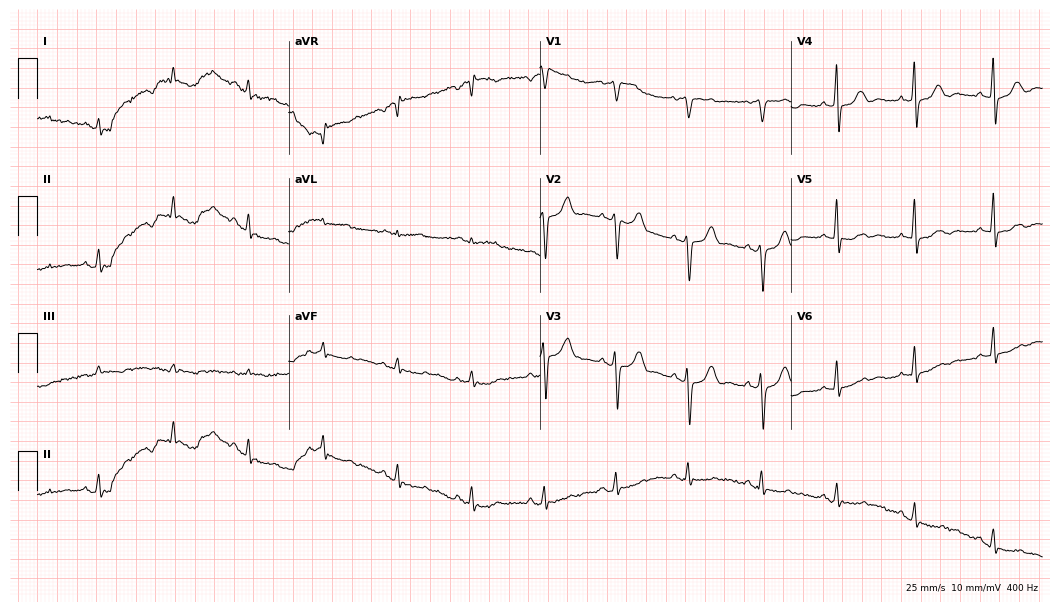
ECG — a male patient, 57 years old. Screened for six findings — first-degree AV block, right bundle branch block (RBBB), left bundle branch block (LBBB), sinus bradycardia, atrial fibrillation (AF), sinus tachycardia — none is recorded.